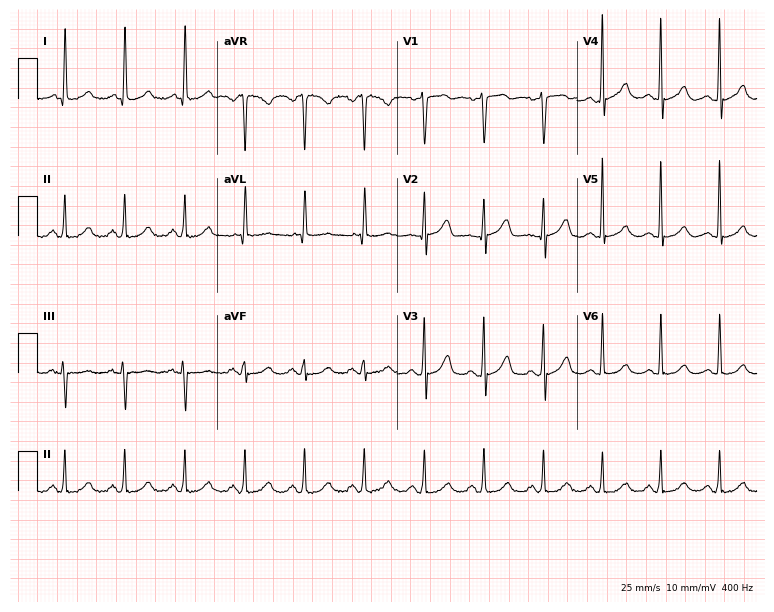
Electrocardiogram, a woman, 60 years old. Of the six screened findings (first-degree AV block, right bundle branch block (RBBB), left bundle branch block (LBBB), sinus bradycardia, atrial fibrillation (AF), sinus tachycardia), none is recorded. Only these six findings were labelled.